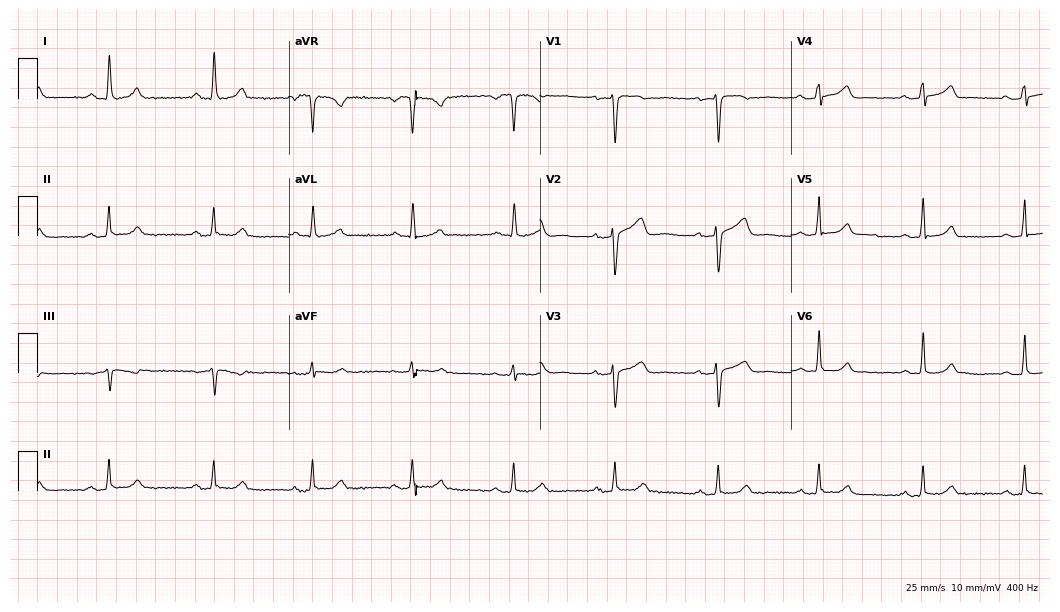
Resting 12-lead electrocardiogram (10.2-second recording at 400 Hz). Patient: a 42-year-old woman. Read as a normal ECG.